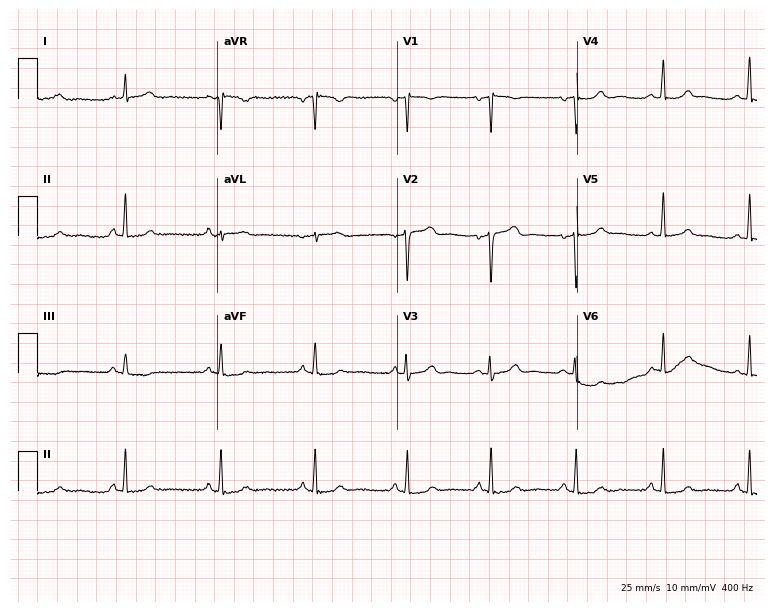
Standard 12-lead ECG recorded from a 32-year-old female patient. None of these six findings is recorded: first-degree AV block, right bundle branch block, left bundle branch block, sinus bradycardia, atrial fibrillation, sinus tachycardia.